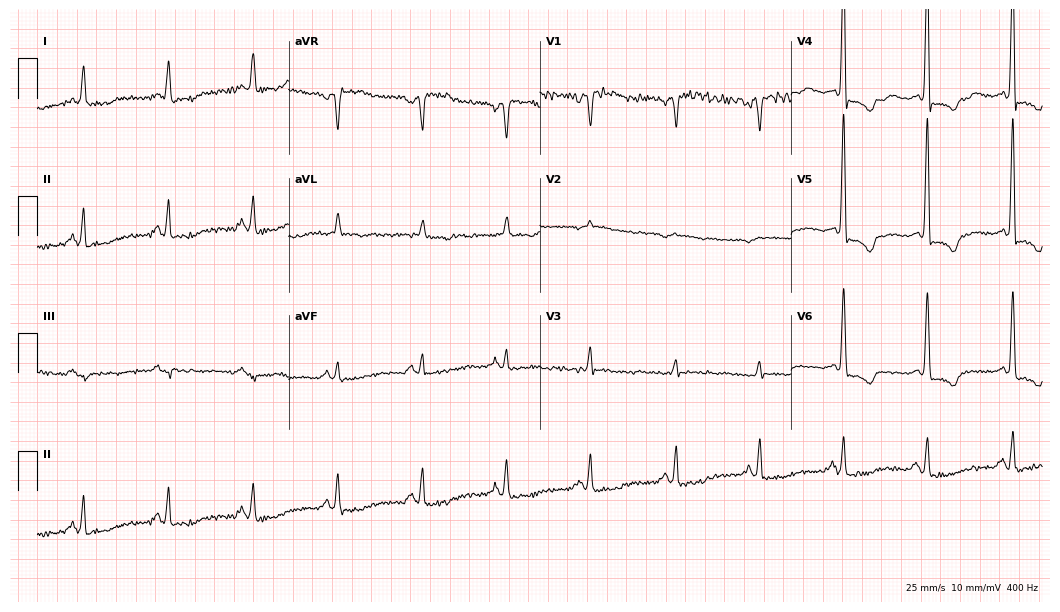
Standard 12-lead ECG recorded from a male, 70 years old (10.2-second recording at 400 Hz). None of these six findings is recorded: first-degree AV block, right bundle branch block (RBBB), left bundle branch block (LBBB), sinus bradycardia, atrial fibrillation (AF), sinus tachycardia.